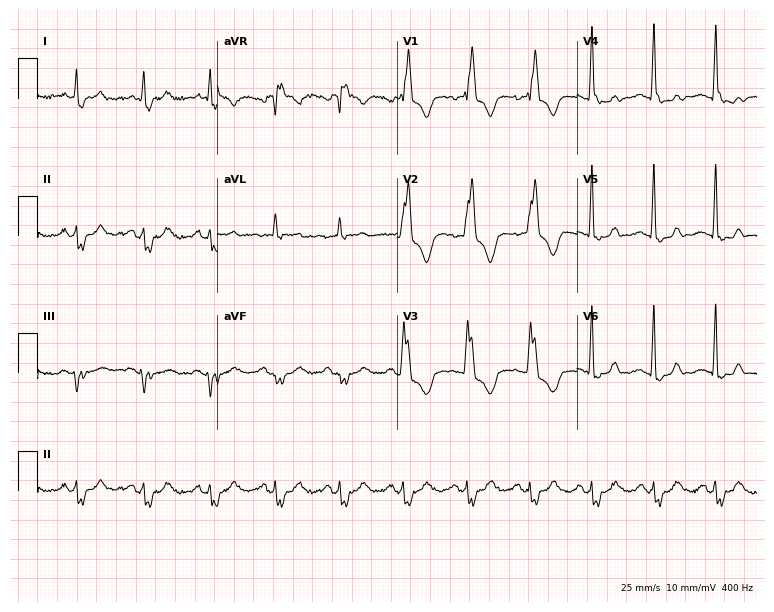
Resting 12-lead electrocardiogram. Patient: a 70-year-old female. The tracing shows right bundle branch block.